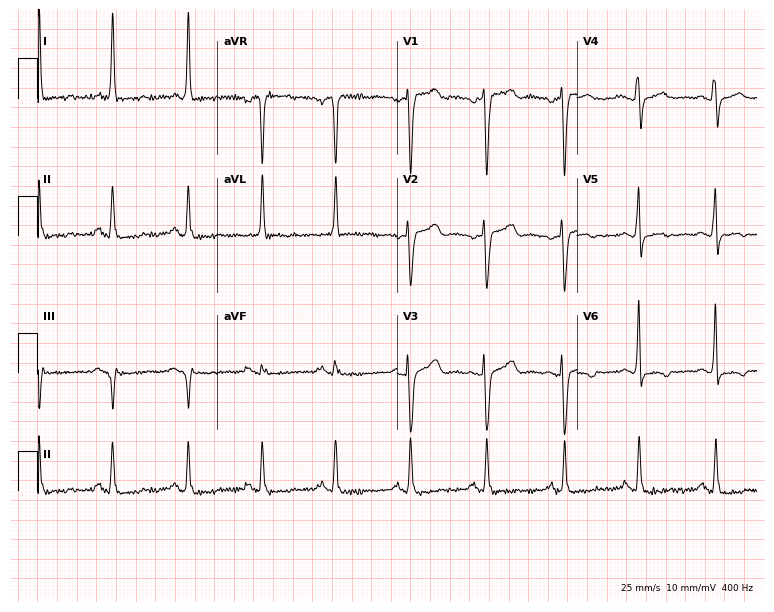
Electrocardiogram, a female, 53 years old. Of the six screened findings (first-degree AV block, right bundle branch block, left bundle branch block, sinus bradycardia, atrial fibrillation, sinus tachycardia), none is recorded.